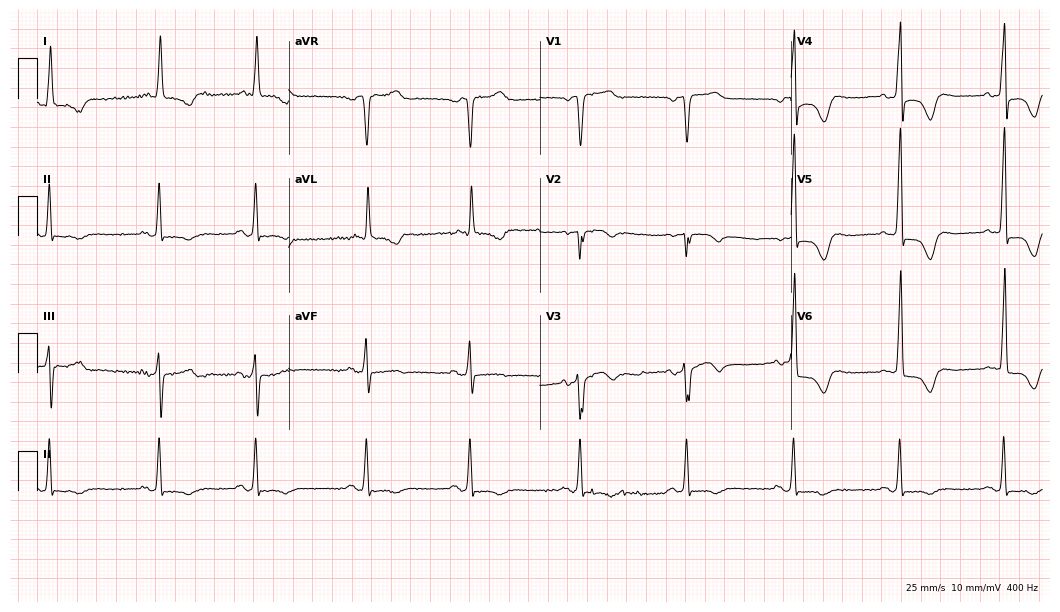
Electrocardiogram, a 70-year-old man. Of the six screened findings (first-degree AV block, right bundle branch block (RBBB), left bundle branch block (LBBB), sinus bradycardia, atrial fibrillation (AF), sinus tachycardia), none is recorded.